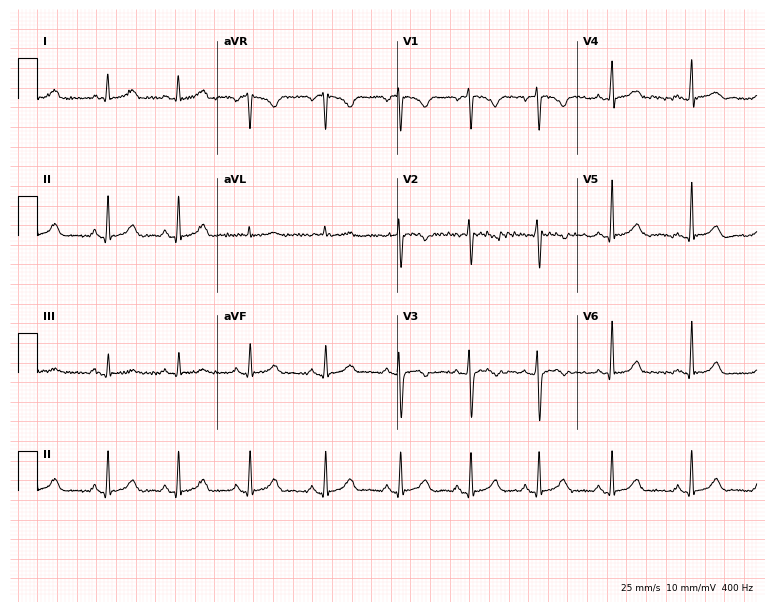
12-lead ECG from a female patient, 37 years old. Recorded interpretation: within normal limits.